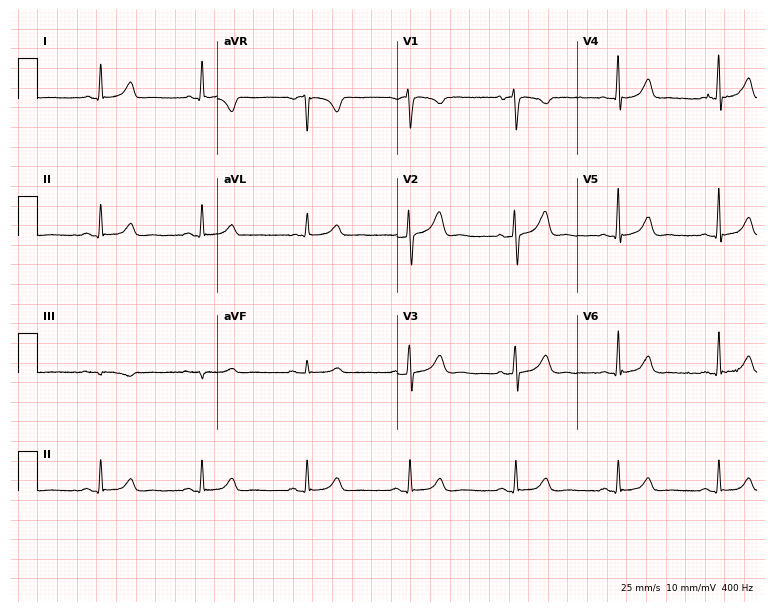
ECG (7.3-second recording at 400 Hz) — a 42-year-old woman. Labelled as a normal ECG.